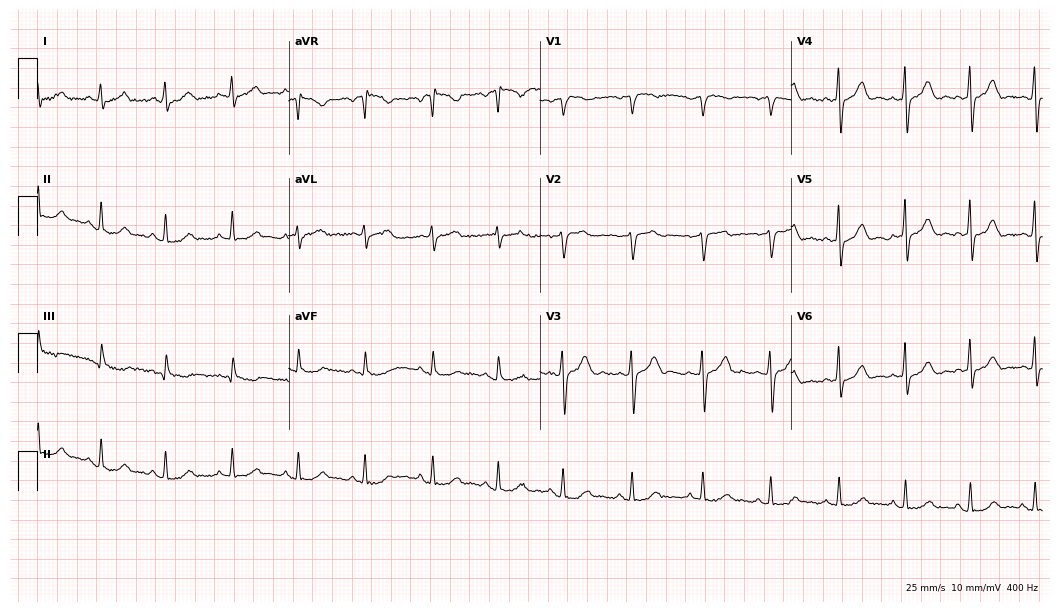
12-lead ECG from a female, 47 years old. Recorded interpretation: within normal limits.